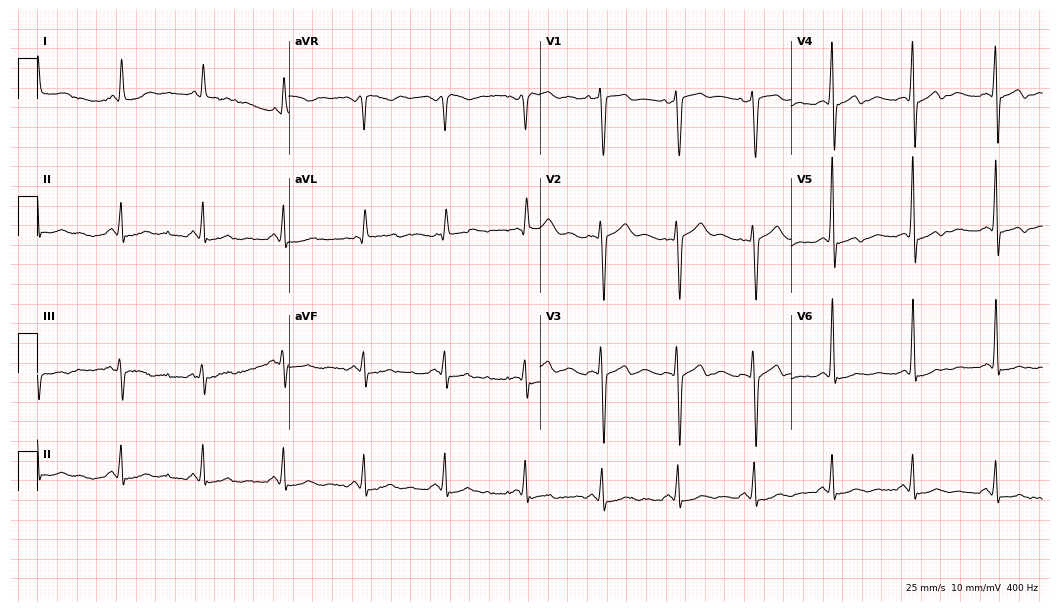
Resting 12-lead electrocardiogram (10.2-second recording at 400 Hz). Patient: a 57-year-old female. None of these six findings is recorded: first-degree AV block, right bundle branch block, left bundle branch block, sinus bradycardia, atrial fibrillation, sinus tachycardia.